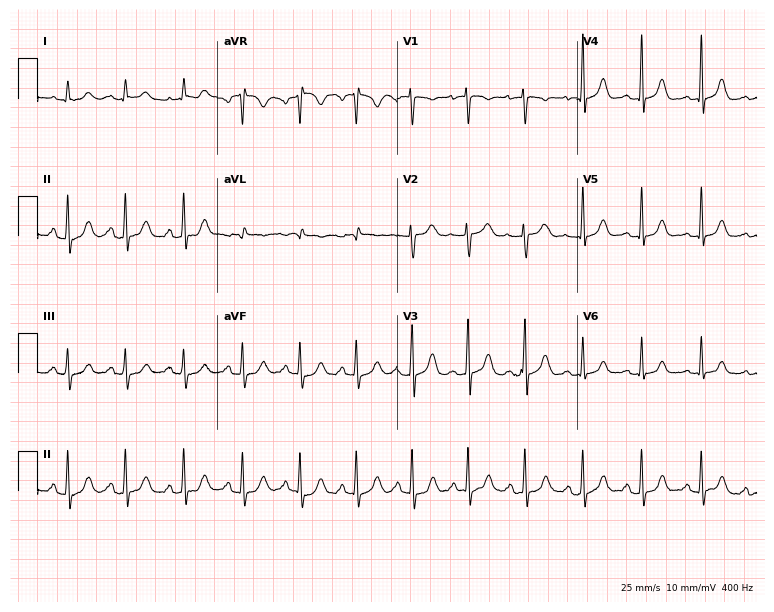
Standard 12-lead ECG recorded from a female patient, 20 years old (7.3-second recording at 400 Hz). The tracing shows sinus tachycardia (a sinus rate of 100 beats per minute or more).